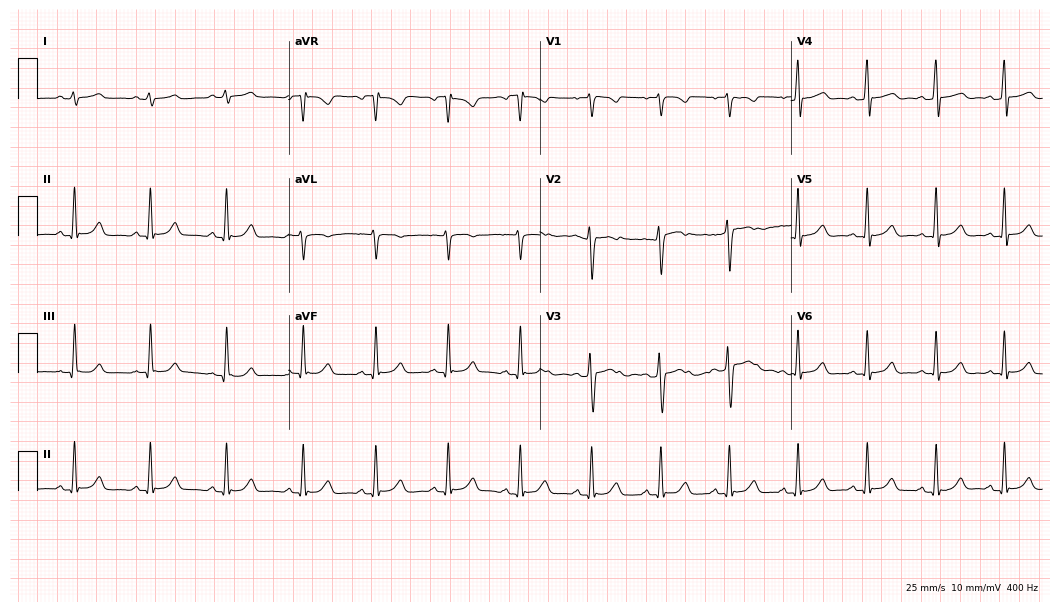
Resting 12-lead electrocardiogram (10.2-second recording at 400 Hz). Patient: a female, 27 years old. Read as a normal ECG.